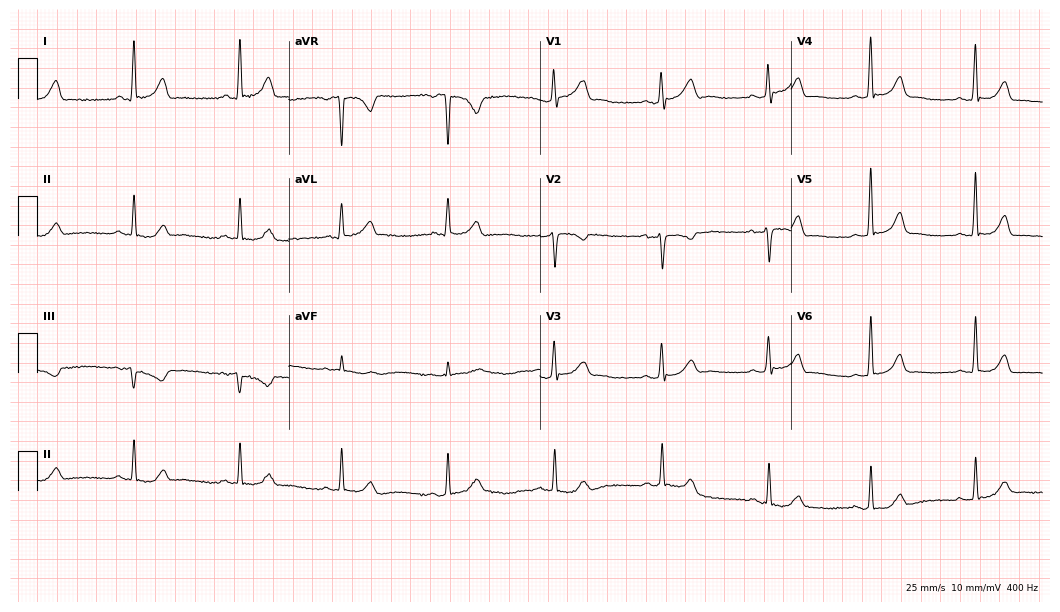
12-lead ECG from a female, 43 years old. Labelled as a normal ECG.